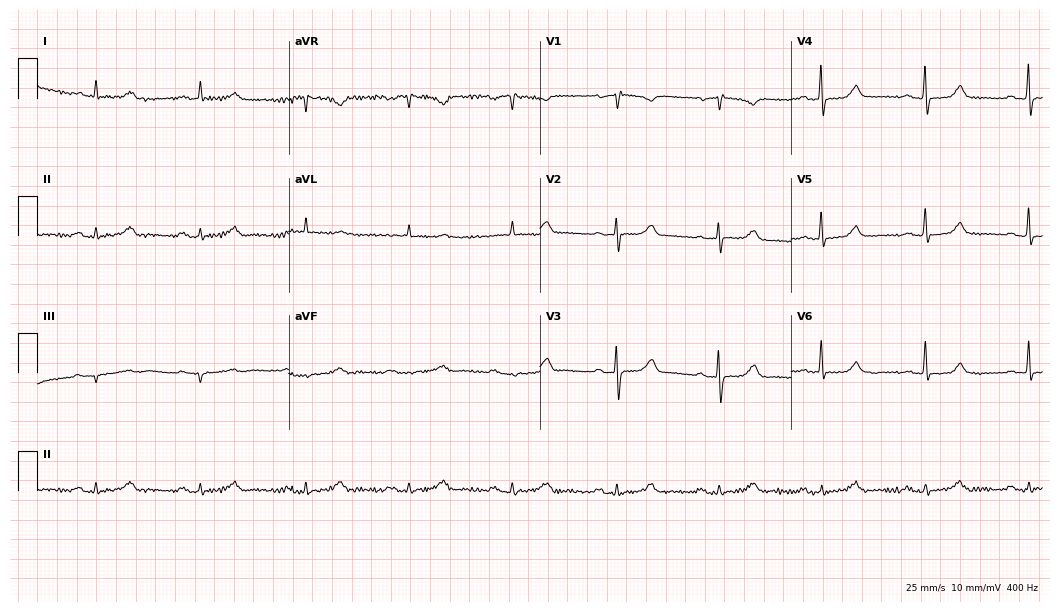
12-lead ECG (10.2-second recording at 400 Hz) from a male, 81 years old. Screened for six findings — first-degree AV block, right bundle branch block (RBBB), left bundle branch block (LBBB), sinus bradycardia, atrial fibrillation (AF), sinus tachycardia — none is recorded.